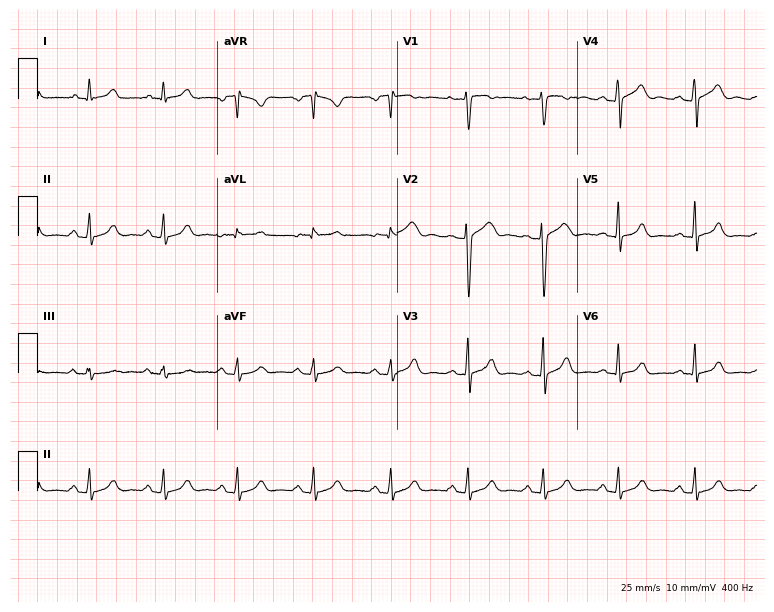
12-lead ECG from a 47-year-old female. Recorded interpretation: within normal limits.